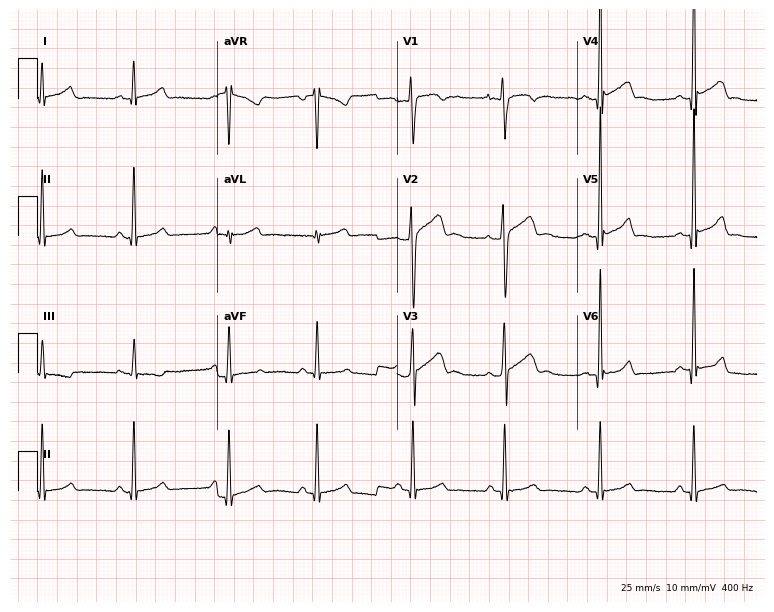
Standard 12-lead ECG recorded from a male, 21 years old. Read as a normal ECG.